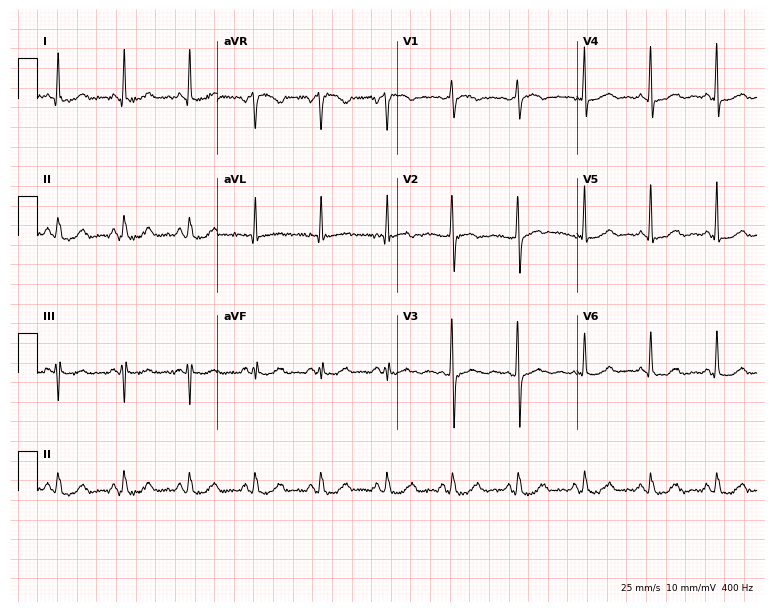
12-lead ECG from a 68-year-old woman (7.3-second recording at 400 Hz). No first-degree AV block, right bundle branch block (RBBB), left bundle branch block (LBBB), sinus bradycardia, atrial fibrillation (AF) or sinus tachycardia recorded for this tracing.